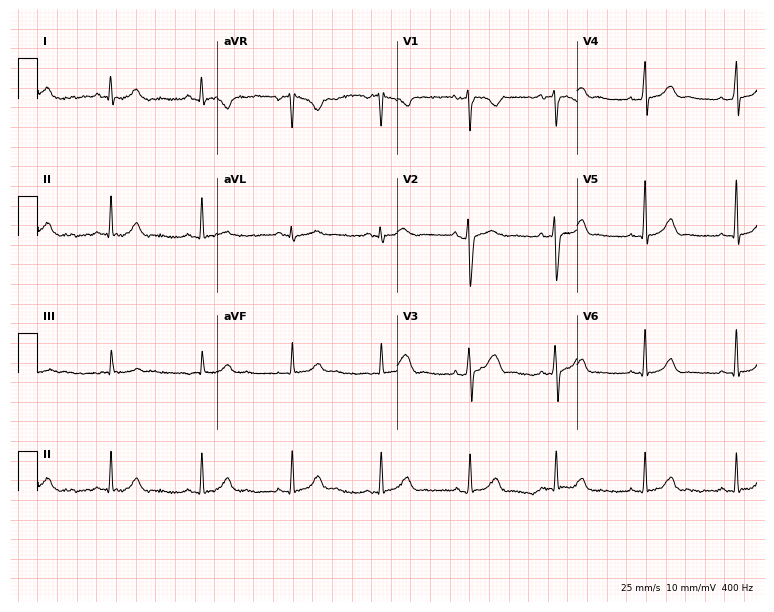
Standard 12-lead ECG recorded from a female, 30 years old. Read as a normal ECG.